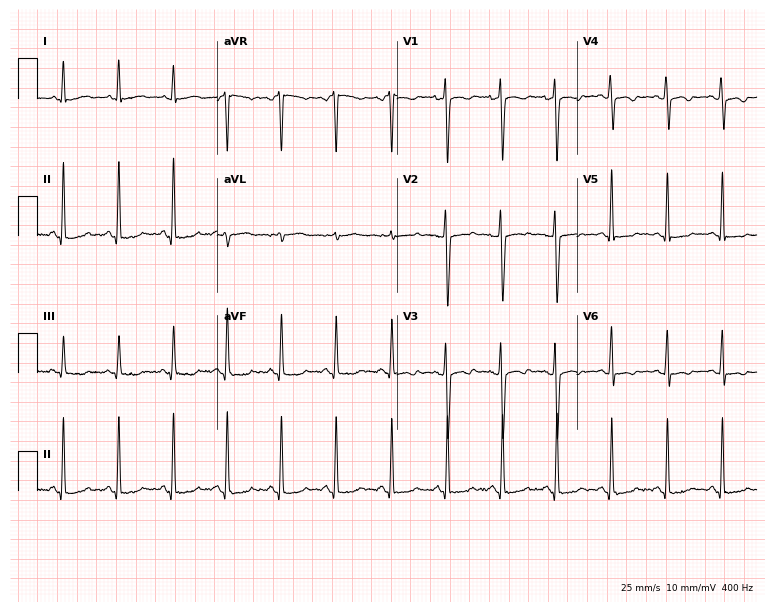
12-lead ECG from a 35-year-old female (7.3-second recording at 400 Hz). No first-degree AV block, right bundle branch block, left bundle branch block, sinus bradycardia, atrial fibrillation or sinus tachycardia recorded for this tracing. Findings outside these six are not listed.